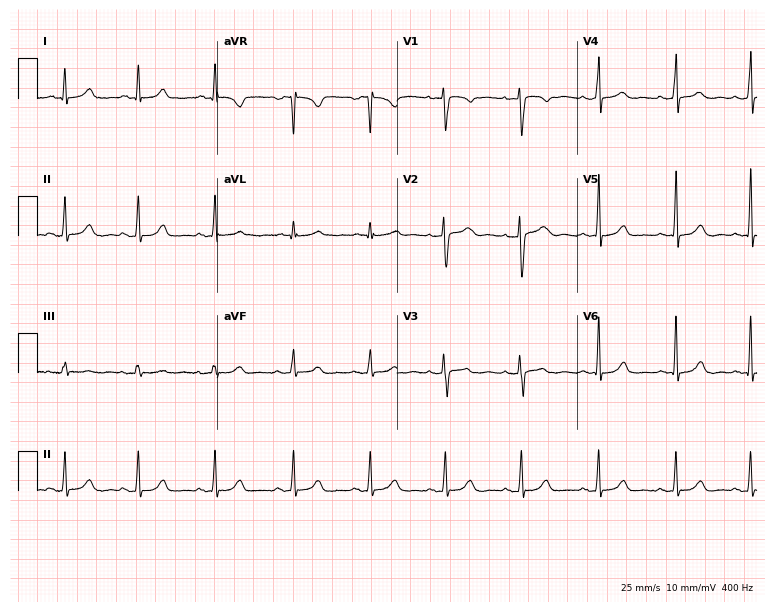
ECG (7.3-second recording at 400 Hz) — a female patient, 35 years old. Labelled as a normal ECG.